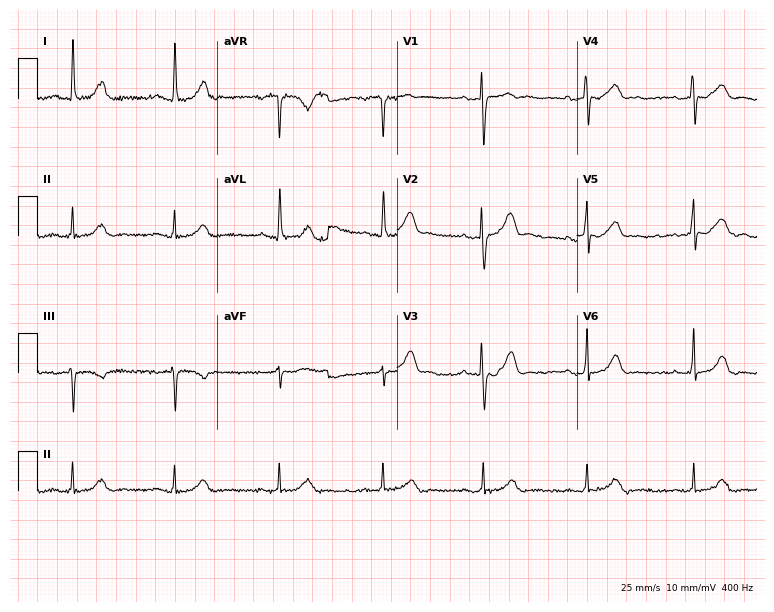
12-lead ECG from a female, 44 years old. No first-degree AV block, right bundle branch block (RBBB), left bundle branch block (LBBB), sinus bradycardia, atrial fibrillation (AF) or sinus tachycardia recorded for this tracing.